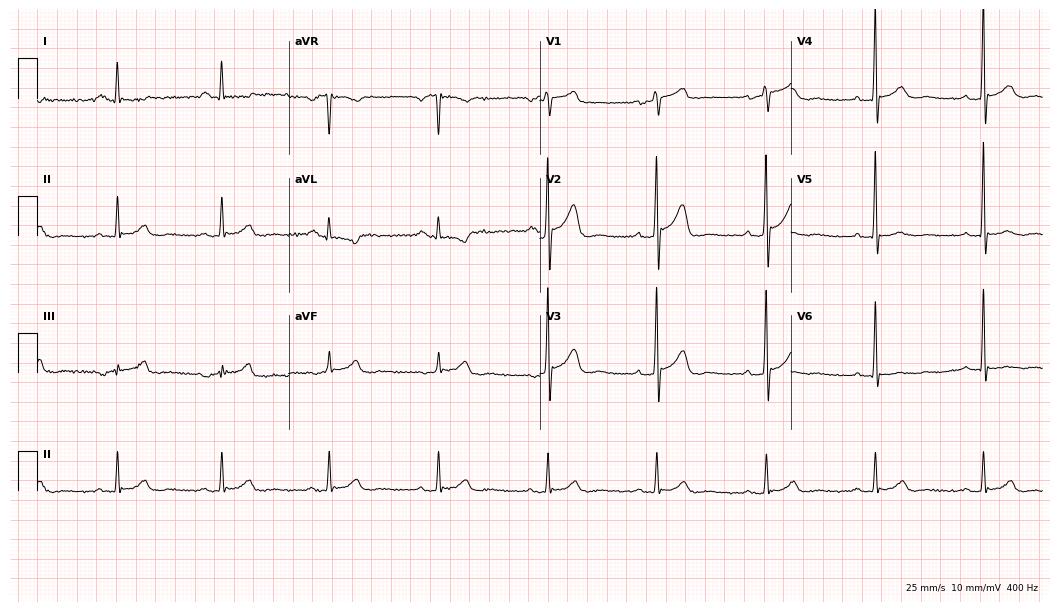
12-lead ECG from a male patient, 67 years old. No first-degree AV block, right bundle branch block (RBBB), left bundle branch block (LBBB), sinus bradycardia, atrial fibrillation (AF) or sinus tachycardia recorded for this tracing.